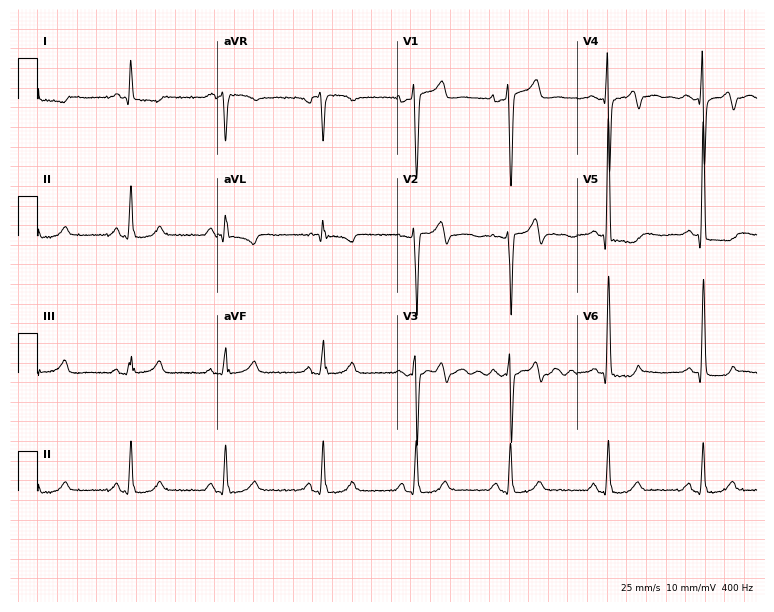
Resting 12-lead electrocardiogram. Patient: a 52-year-old male. None of these six findings is recorded: first-degree AV block, right bundle branch block, left bundle branch block, sinus bradycardia, atrial fibrillation, sinus tachycardia.